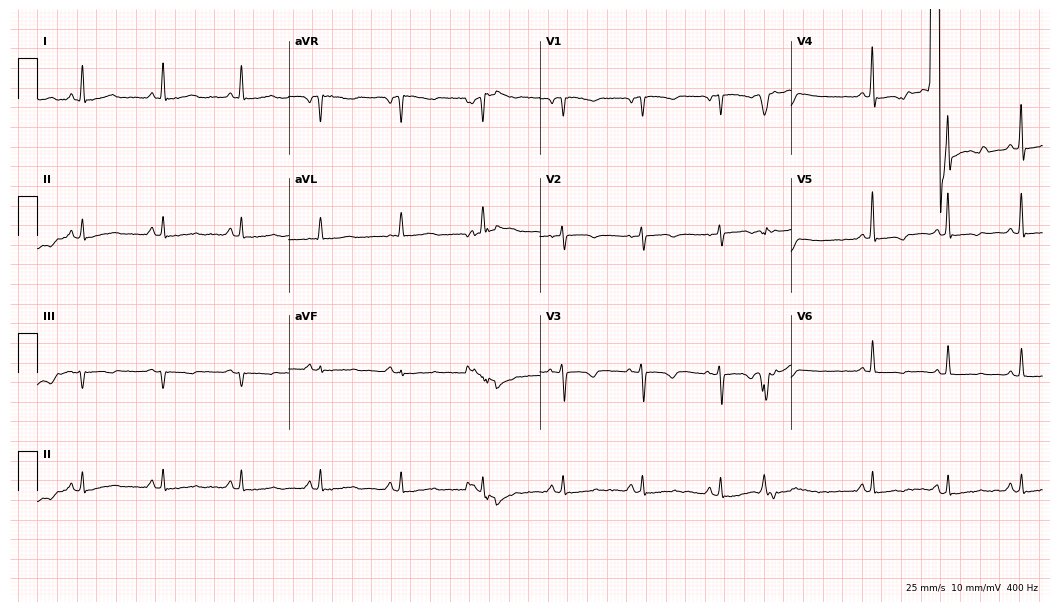
12-lead ECG from a 55-year-old female. Screened for six findings — first-degree AV block, right bundle branch block, left bundle branch block, sinus bradycardia, atrial fibrillation, sinus tachycardia — none is recorded.